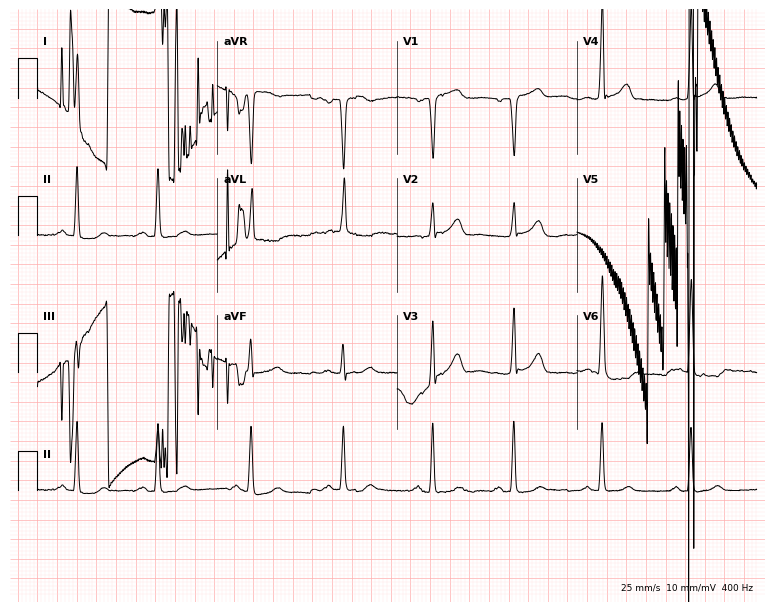
Resting 12-lead electrocardiogram (7.3-second recording at 400 Hz). Patient: a 78-year-old female. None of these six findings is recorded: first-degree AV block, right bundle branch block, left bundle branch block, sinus bradycardia, atrial fibrillation, sinus tachycardia. Only these six findings were labelled.